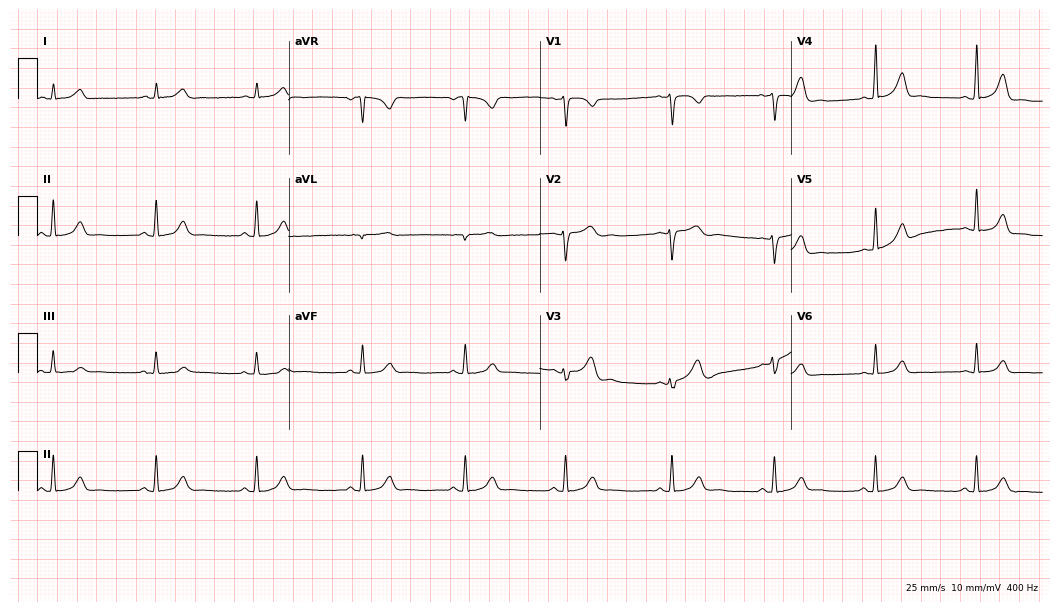
12-lead ECG from a woman, 31 years old (10.2-second recording at 400 Hz). Recorded interpretation: within normal limits.